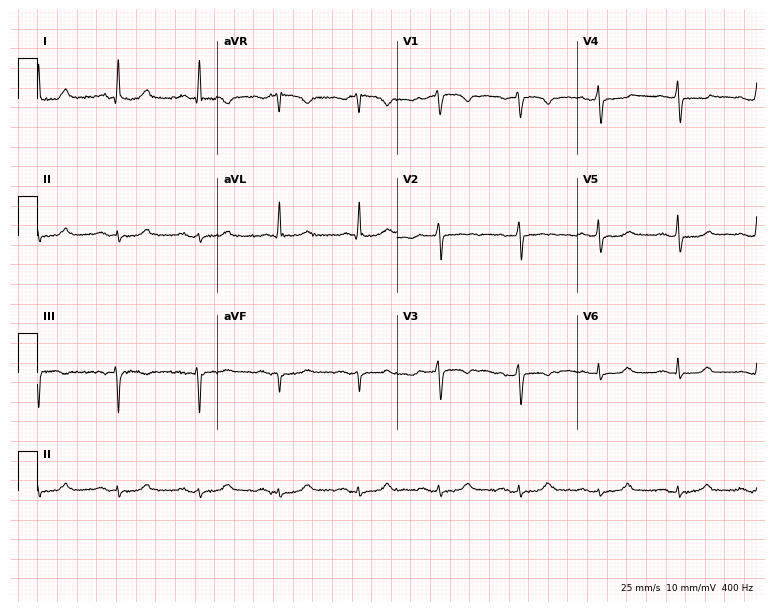
Standard 12-lead ECG recorded from a female patient, 64 years old. None of these six findings is recorded: first-degree AV block, right bundle branch block, left bundle branch block, sinus bradycardia, atrial fibrillation, sinus tachycardia.